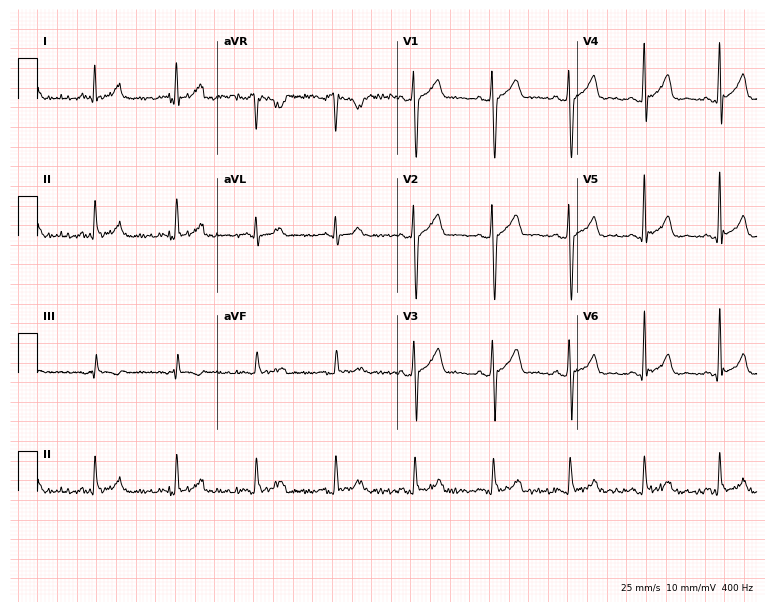
Resting 12-lead electrocardiogram. Patient: a 30-year-old male. Read as a normal ECG.